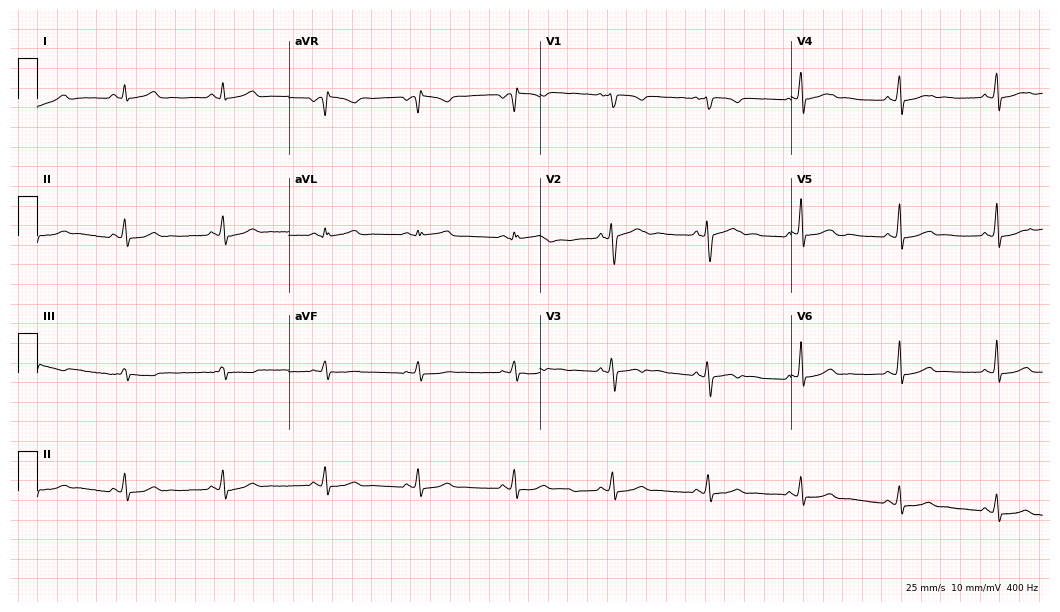
12-lead ECG from a female, 29 years old (10.2-second recording at 400 Hz). Recorded interpretation: within normal limits.